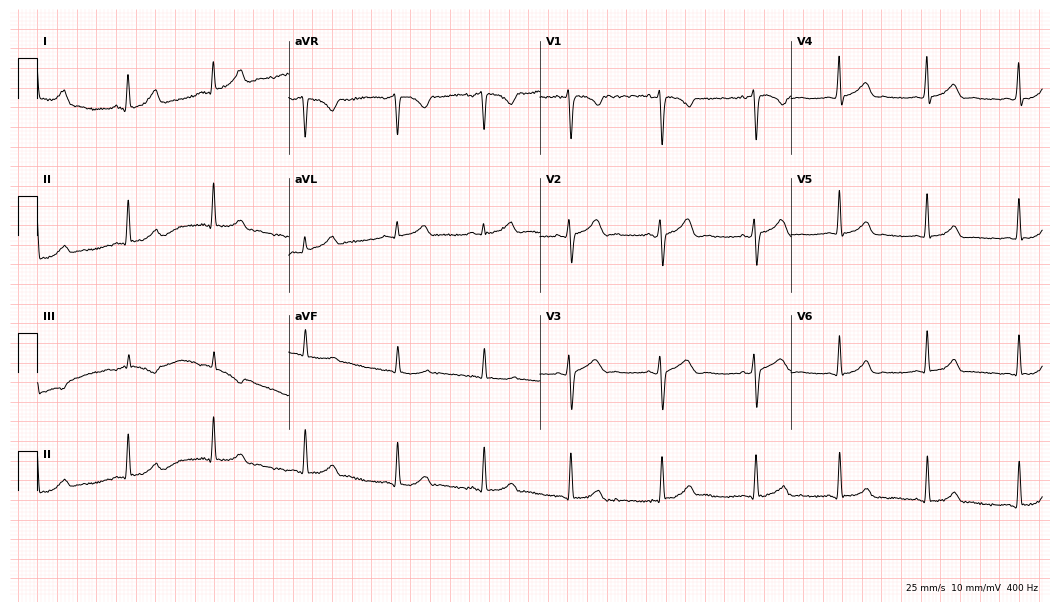
Resting 12-lead electrocardiogram (10.2-second recording at 400 Hz). Patient: a woman, 22 years old. Read as a normal ECG.